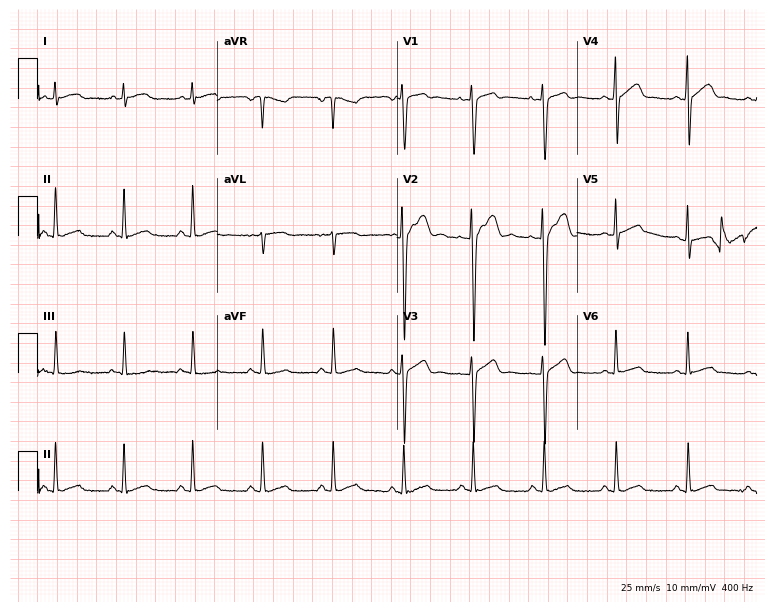
12-lead ECG from a male patient, 24 years old (7.3-second recording at 400 Hz). No first-degree AV block, right bundle branch block (RBBB), left bundle branch block (LBBB), sinus bradycardia, atrial fibrillation (AF) or sinus tachycardia recorded for this tracing.